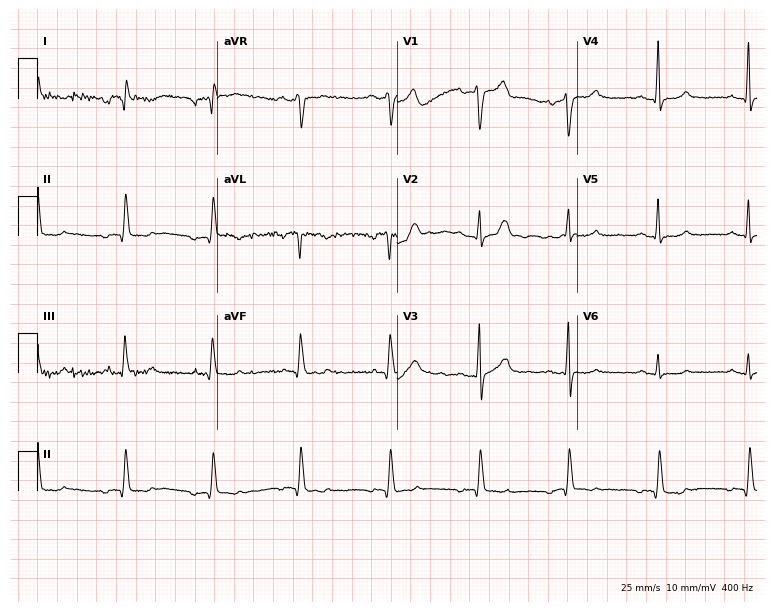
Resting 12-lead electrocardiogram. Patient: a 74-year-old man. None of these six findings is recorded: first-degree AV block, right bundle branch block, left bundle branch block, sinus bradycardia, atrial fibrillation, sinus tachycardia. Findings outside these six are not listed.